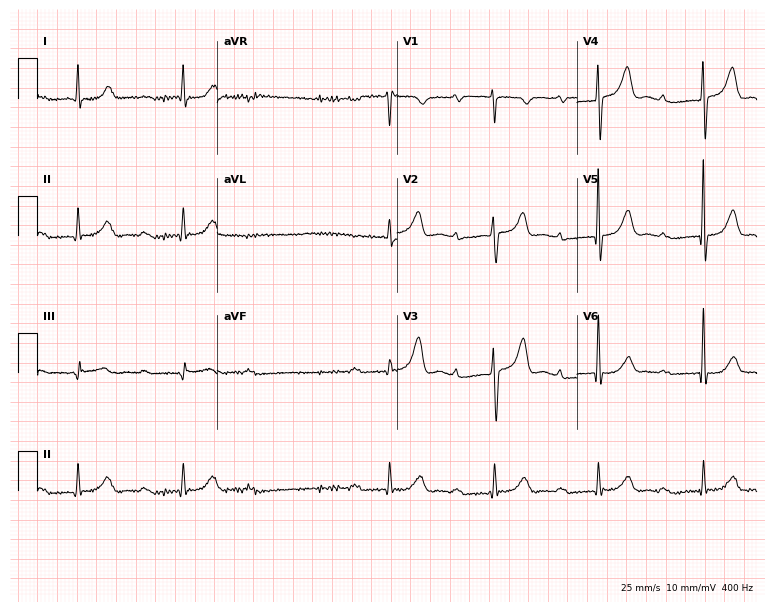
Resting 12-lead electrocardiogram (7.3-second recording at 400 Hz). Patient: a 74-year-old male. None of these six findings is recorded: first-degree AV block, right bundle branch block, left bundle branch block, sinus bradycardia, atrial fibrillation, sinus tachycardia. Only these six findings were labelled.